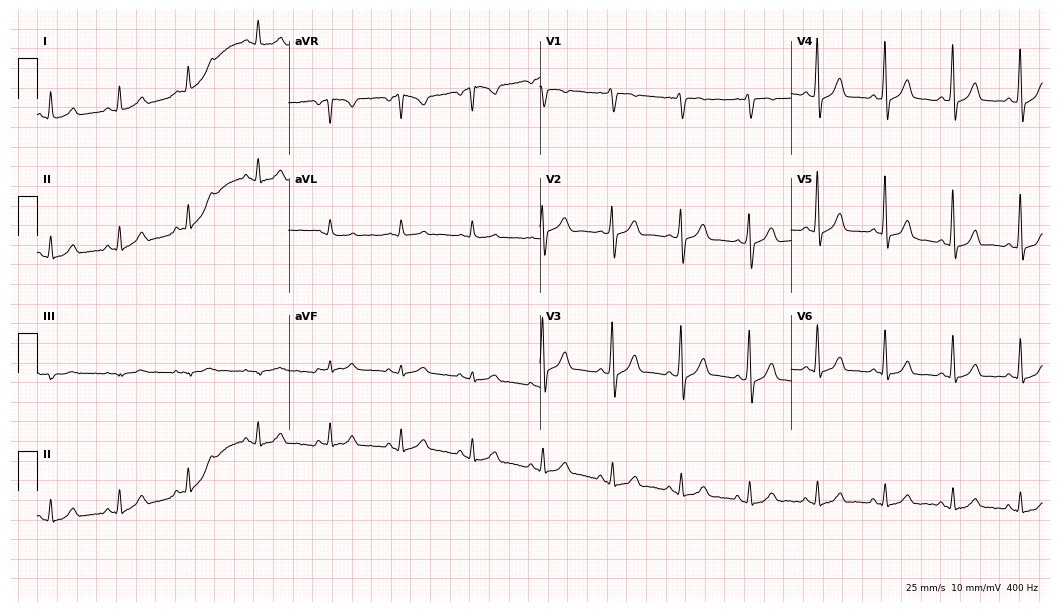
Standard 12-lead ECG recorded from a 60-year-old male. Read as a normal ECG.